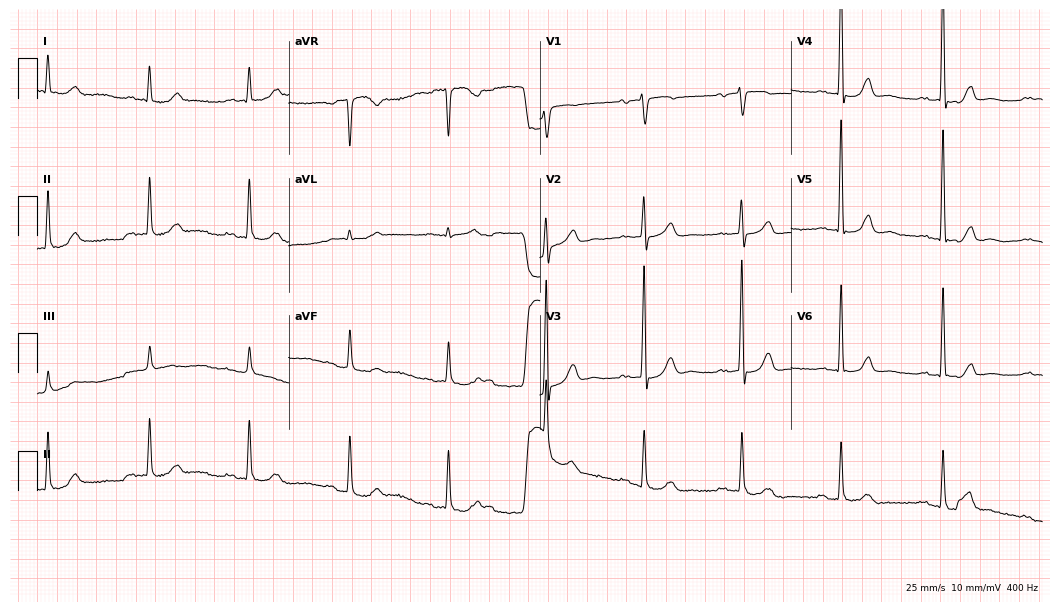
ECG — a male patient, 68 years old. Labelled as a normal ECG.